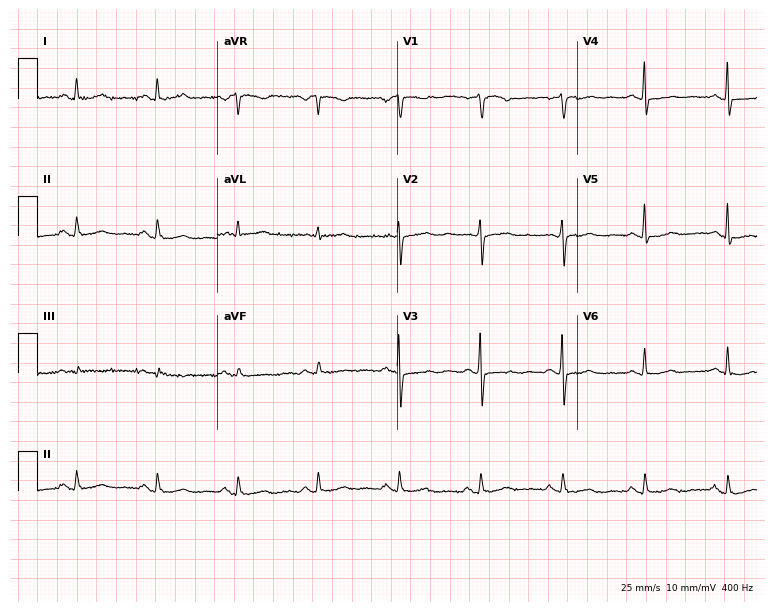
Resting 12-lead electrocardiogram (7.3-second recording at 400 Hz). Patient: a 66-year-old female. None of these six findings is recorded: first-degree AV block, right bundle branch block, left bundle branch block, sinus bradycardia, atrial fibrillation, sinus tachycardia.